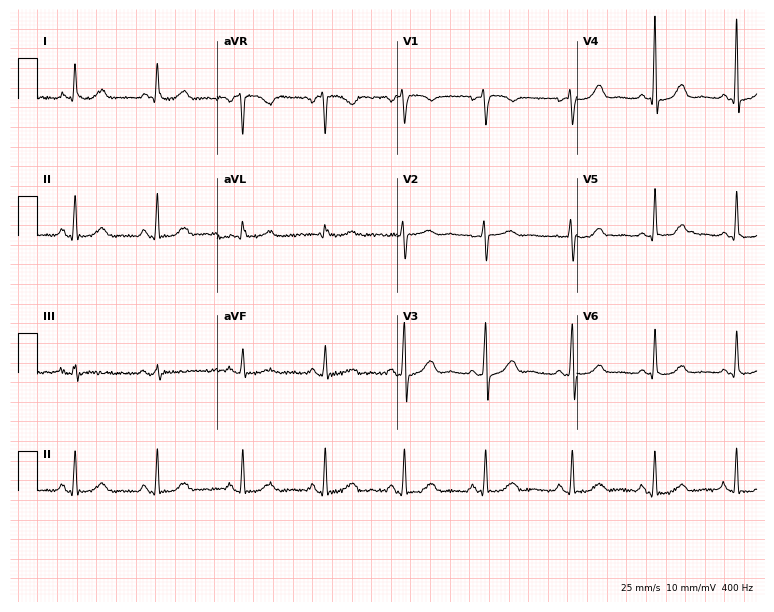
ECG (7.3-second recording at 400 Hz) — a female, 50 years old. Labelled as a normal ECG.